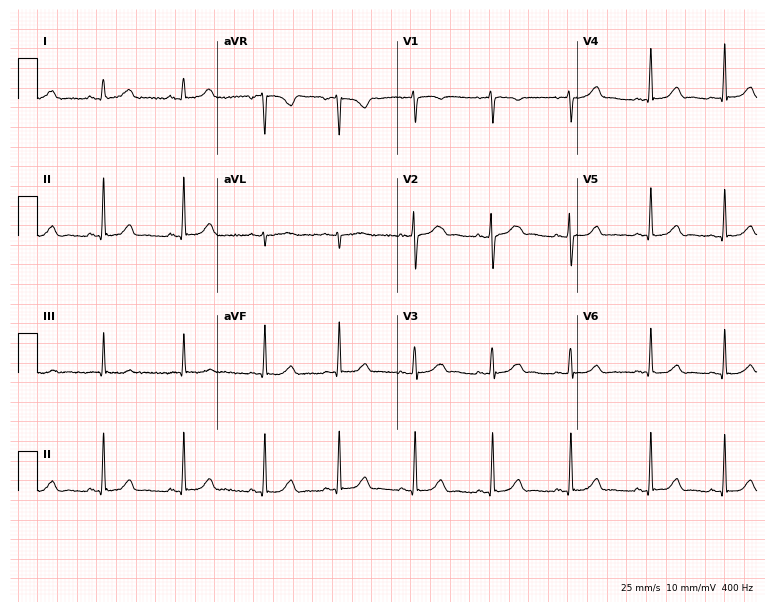
Standard 12-lead ECG recorded from a woman, 35 years old. Read as a normal ECG.